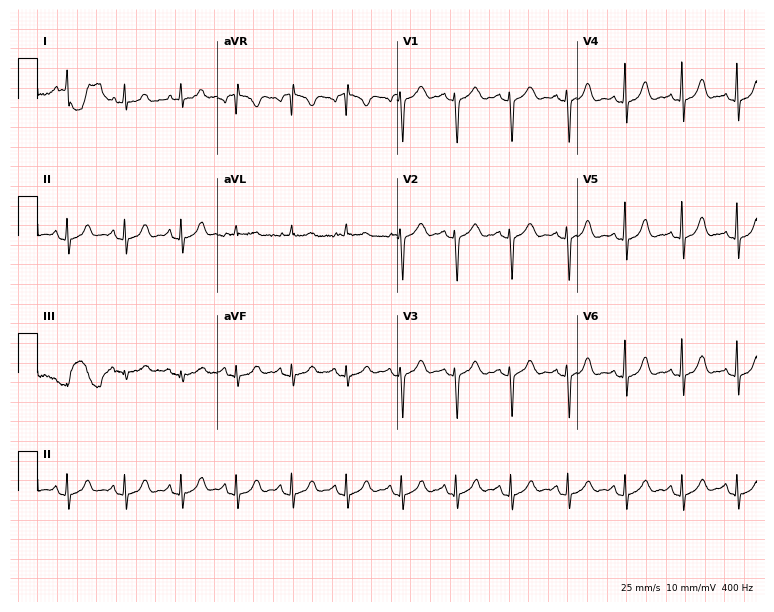
Electrocardiogram (7.3-second recording at 400 Hz), a 23-year-old woman. Interpretation includes sinus tachycardia (a sinus rate of 100 beats per minute or more).